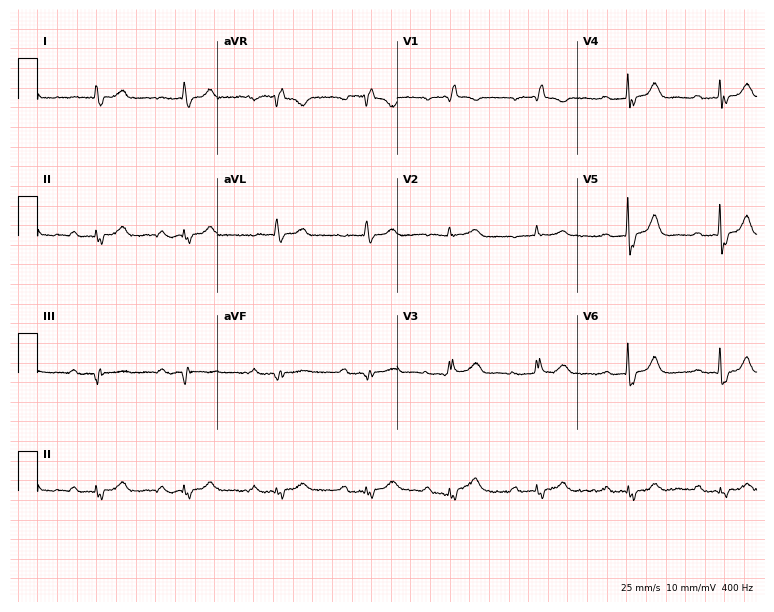
Electrocardiogram, an 80-year-old female. Of the six screened findings (first-degree AV block, right bundle branch block, left bundle branch block, sinus bradycardia, atrial fibrillation, sinus tachycardia), none is recorded. Other findings, if any, are not listed.